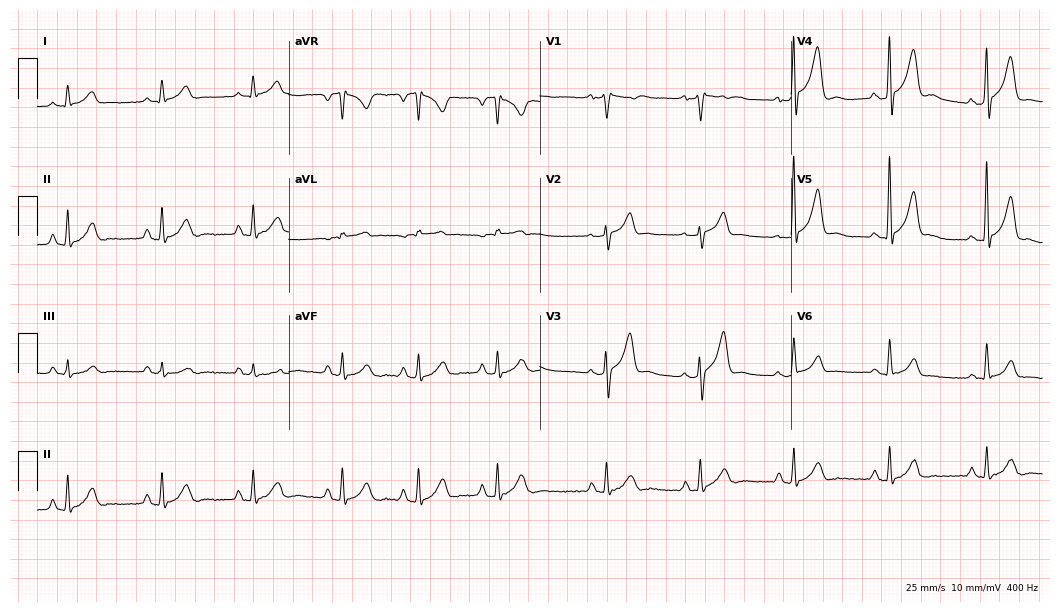
ECG — a man, 54 years old. Screened for six findings — first-degree AV block, right bundle branch block (RBBB), left bundle branch block (LBBB), sinus bradycardia, atrial fibrillation (AF), sinus tachycardia — none is recorded.